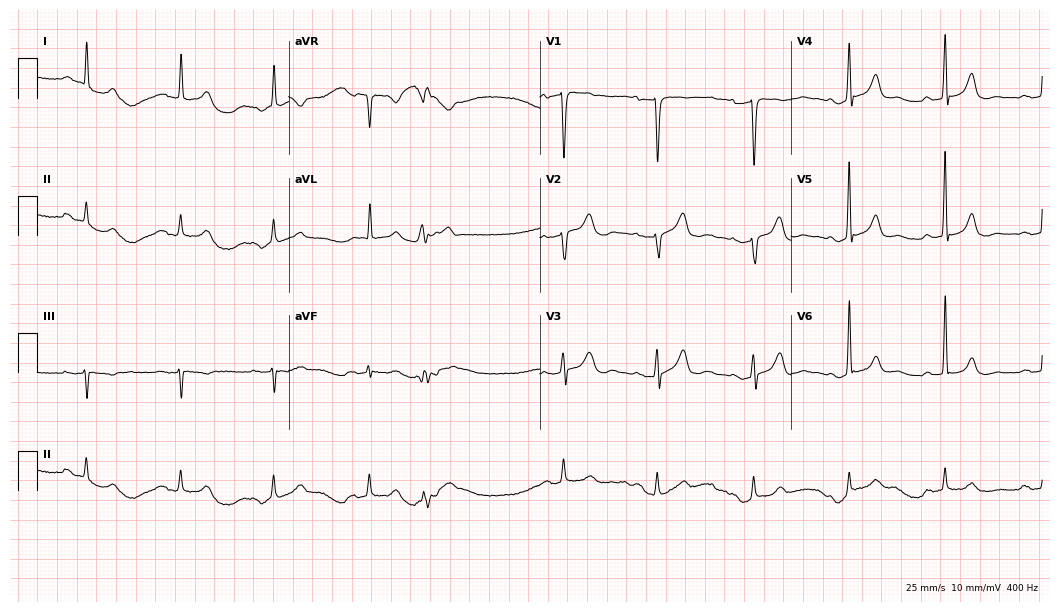
Resting 12-lead electrocardiogram. Patient: a man, 82 years old. None of these six findings is recorded: first-degree AV block, right bundle branch block, left bundle branch block, sinus bradycardia, atrial fibrillation, sinus tachycardia.